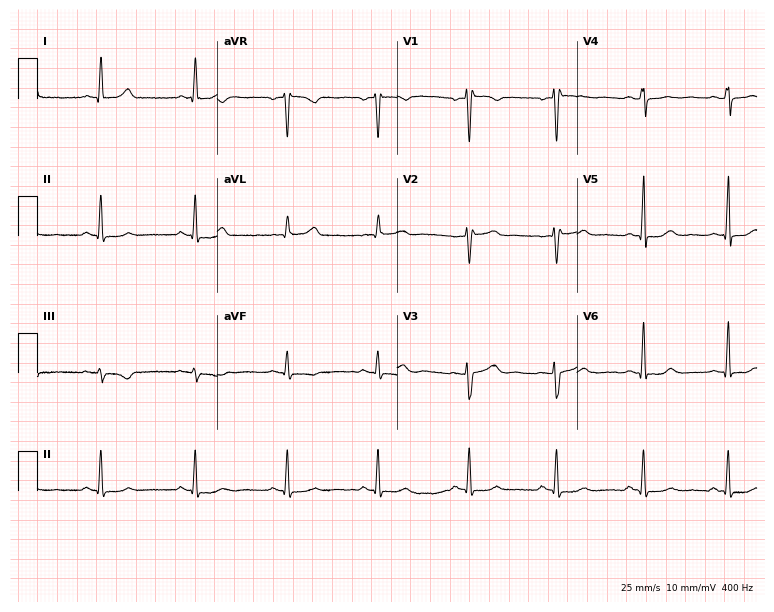
Resting 12-lead electrocardiogram. Patient: a female, 47 years old. None of these six findings is recorded: first-degree AV block, right bundle branch block, left bundle branch block, sinus bradycardia, atrial fibrillation, sinus tachycardia.